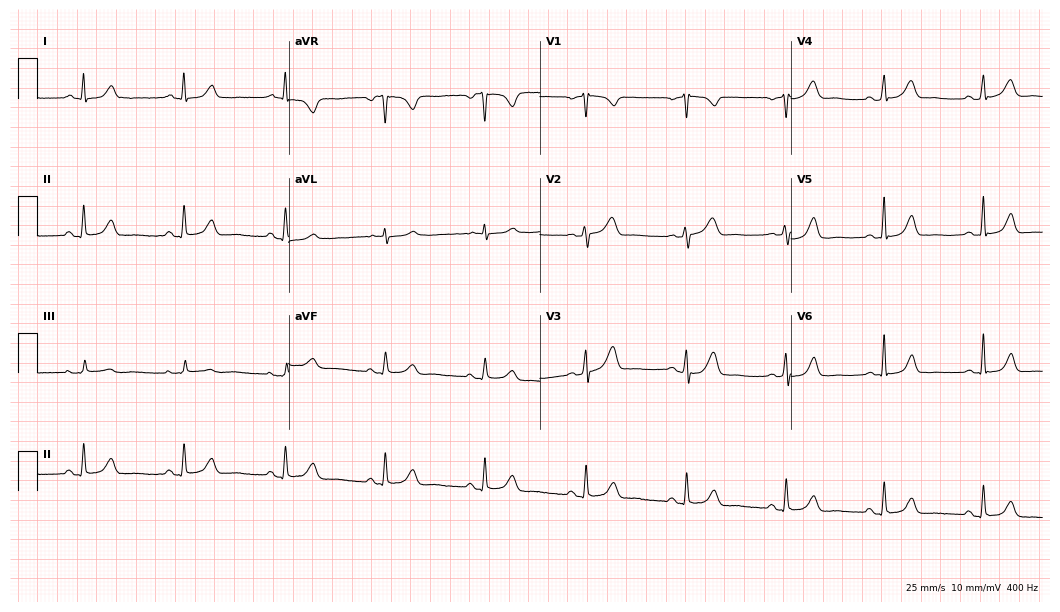
Resting 12-lead electrocardiogram (10.2-second recording at 400 Hz). Patient: a 47-year-old woman. None of these six findings is recorded: first-degree AV block, right bundle branch block (RBBB), left bundle branch block (LBBB), sinus bradycardia, atrial fibrillation (AF), sinus tachycardia. Other findings, if any, are not listed.